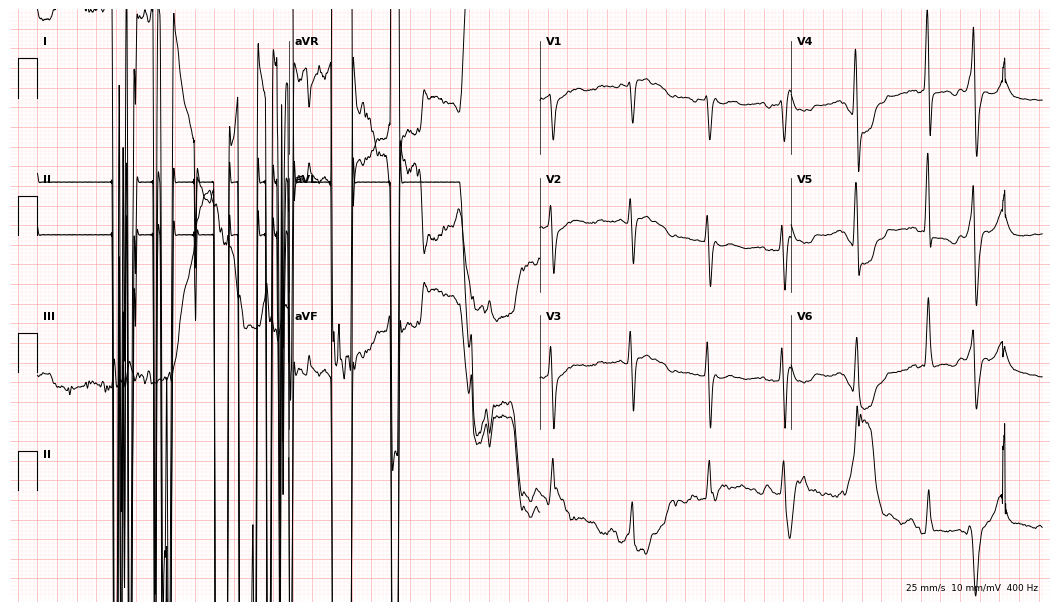
Resting 12-lead electrocardiogram (10.2-second recording at 400 Hz). Patient: a female, 85 years old. None of these six findings is recorded: first-degree AV block, right bundle branch block, left bundle branch block, sinus bradycardia, atrial fibrillation, sinus tachycardia. Only these six findings were labelled.